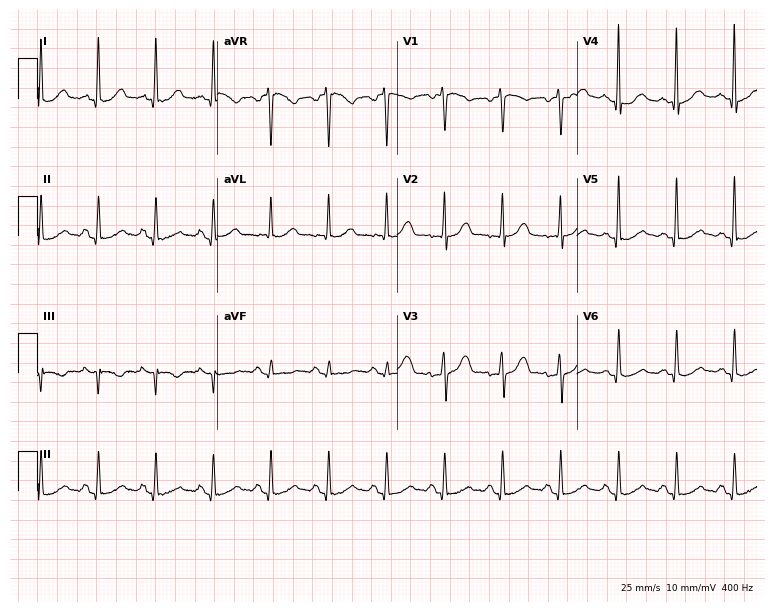
Standard 12-lead ECG recorded from a female, 41 years old. The tracing shows sinus tachycardia (a sinus rate of 100 beats per minute or more).